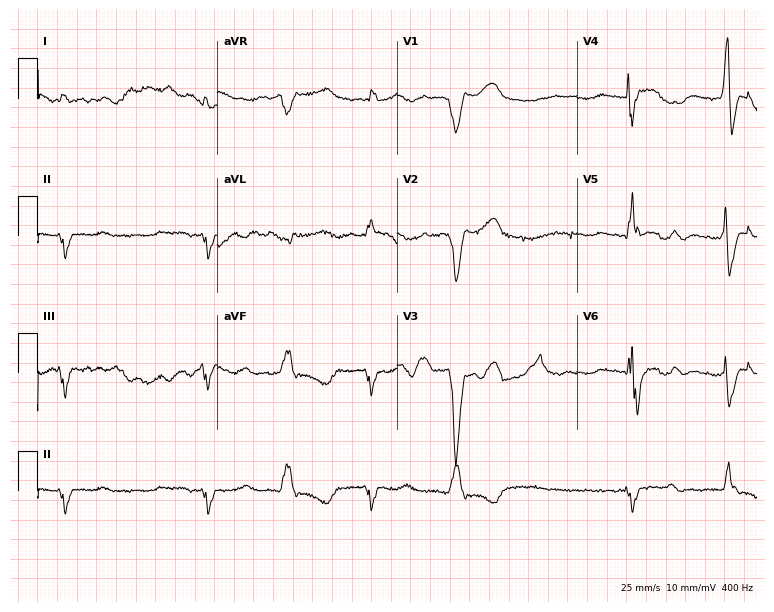
Resting 12-lead electrocardiogram (7.3-second recording at 400 Hz). Patient: a male, 85 years old. The tracing shows right bundle branch block, atrial fibrillation.